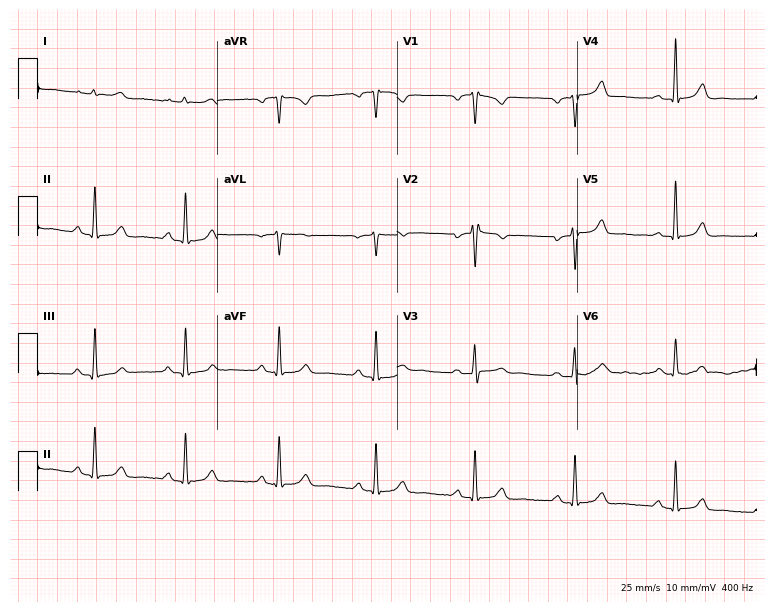
Resting 12-lead electrocardiogram. Patient: a woman, 46 years old. None of these six findings is recorded: first-degree AV block, right bundle branch block, left bundle branch block, sinus bradycardia, atrial fibrillation, sinus tachycardia.